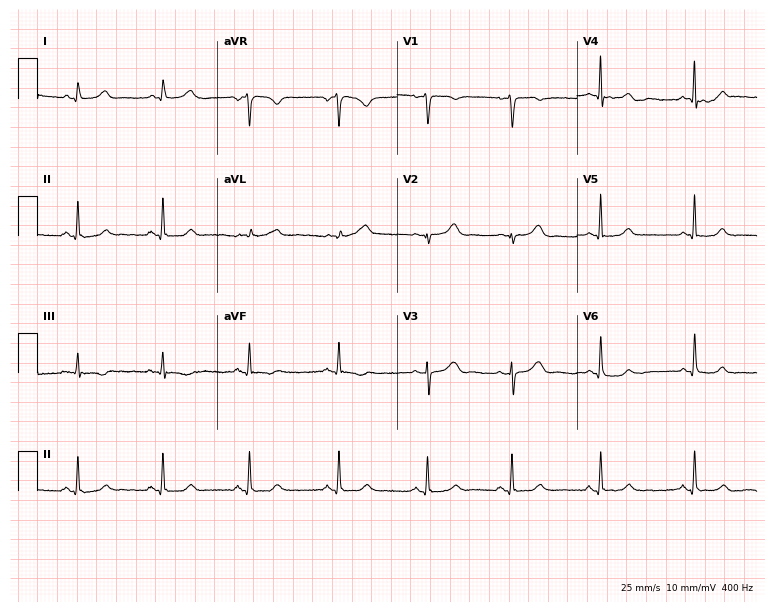
ECG (7.3-second recording at 400 Hz) — a female patient, 45 years old. Labelled as a normal ECG.